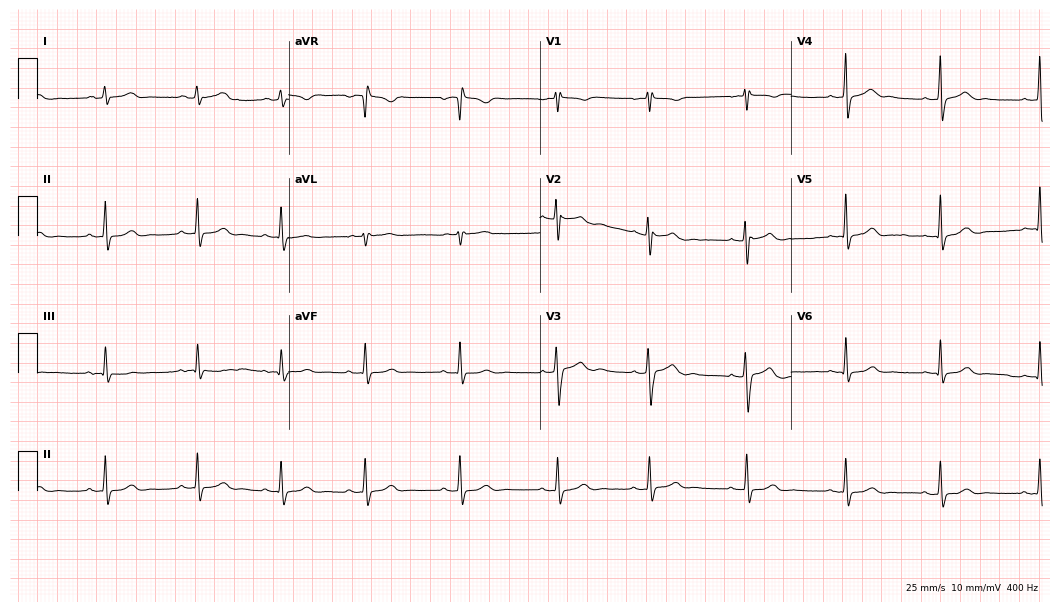
Electrocardiogram, a female, 27 years old. Overall reading on record: normal ECG.